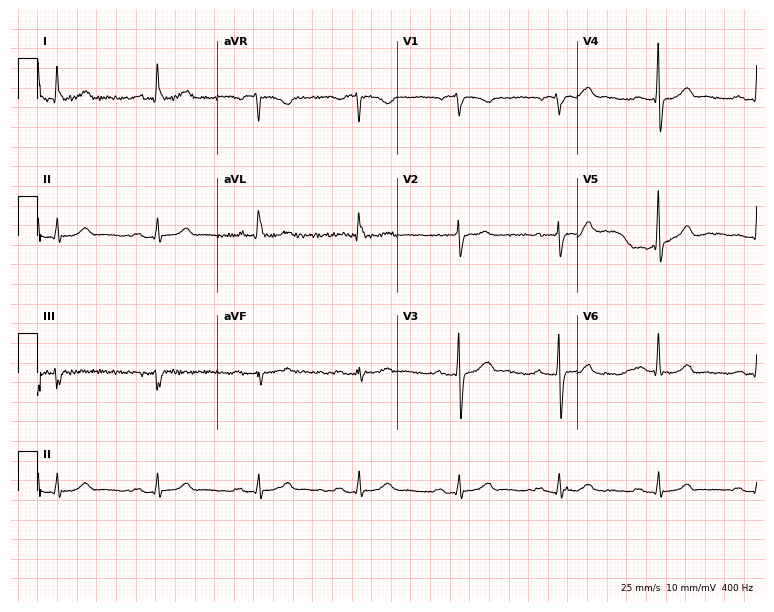
ECG — an 84-year-old male patient. Labelled as a normal ECG.